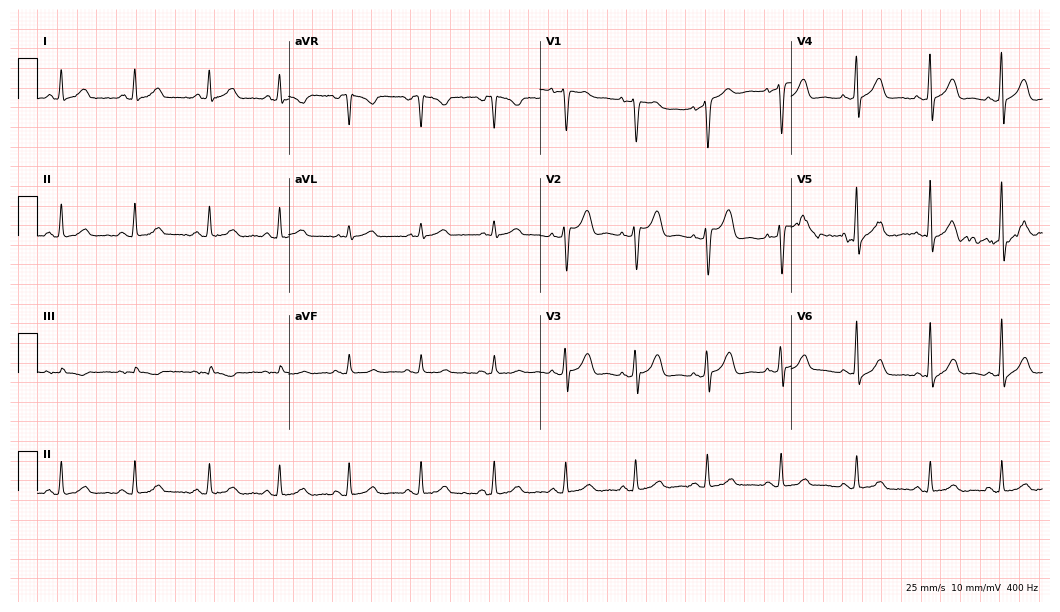
ECG (10.2-second recording at 400 Hz) — a woman, 46 years old. Labelled as a normal ECG.